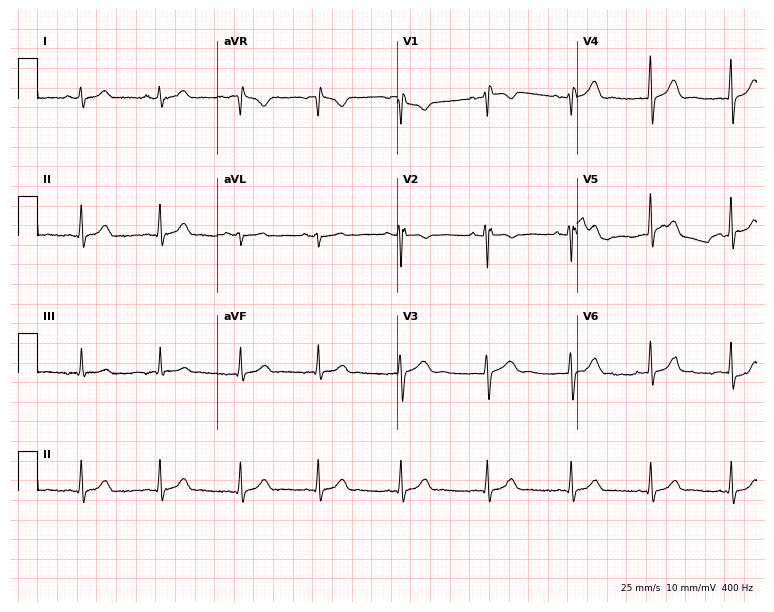
12-lead ECG from a 20-year-old woman. Screened for six findings — first-degree AV block, right bundle branch block (RBBB), left bundle branch block (LBBB), sinus bradycardia, atrial fibrillation (AF), sinus tachycardia — none is recorded.